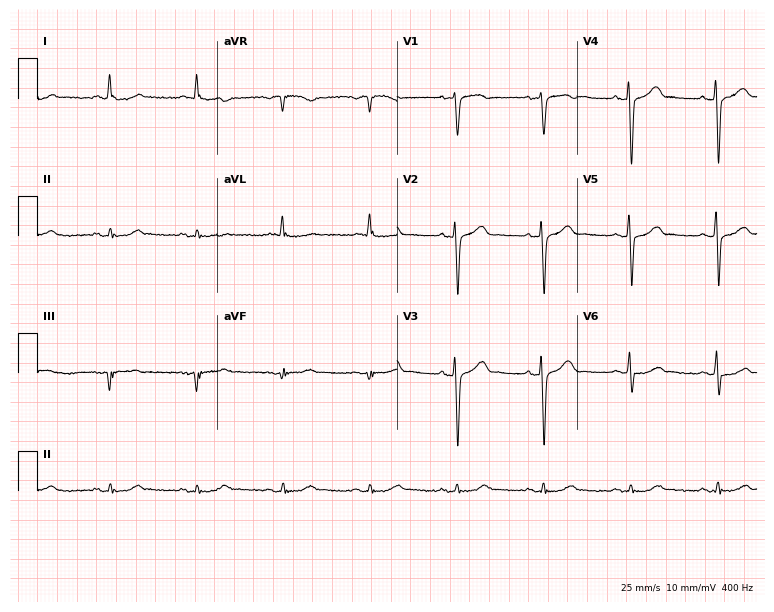
Standard 12-lead ECG recorded from an 81-year-old male (7.3-second recording at 400 Hz). Read as a normal ECG.